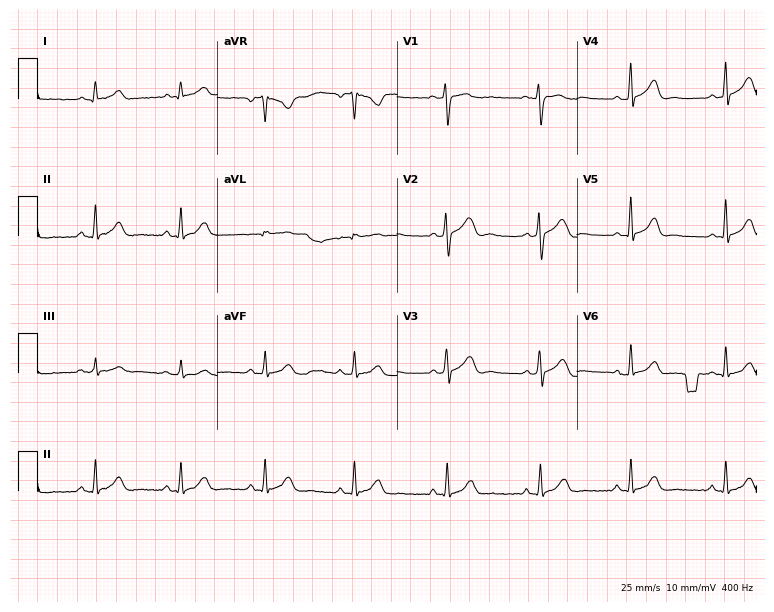
Electrocardiogram, a female, 42 years old. Of the six screened findings (first-degree AV block, right bundle branch block, left bundle branch block, sinus bradycardia, atrial fibrillation, sinus tachycardia), none is recorded. Other findings, if any, are not listed.